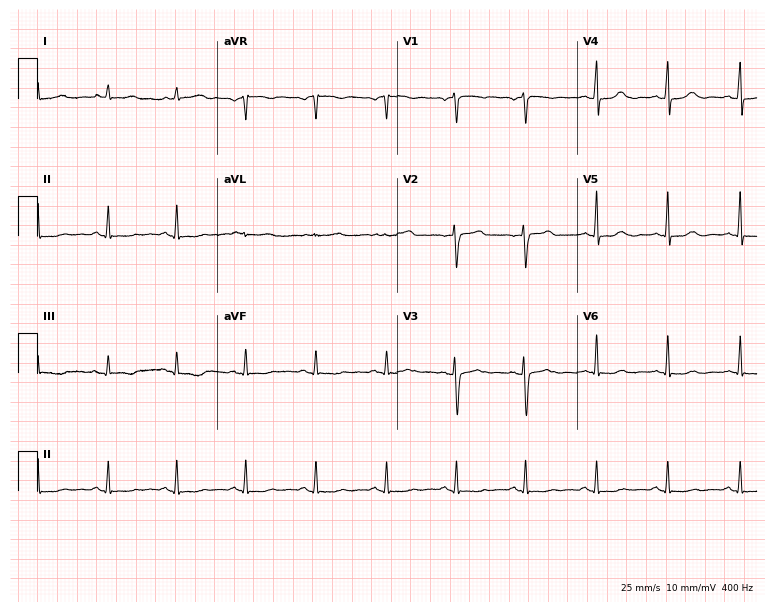
Resting 12-lead electrocardiogram (7.3-second recording at 400 Hz). Patient: a 39-year-old female. None of these six findings is recorded: first-degree AV block, right bundle branch block, left bundle branch block, sinus bradycardia, atrial fibrillation, sinus tachycardia.